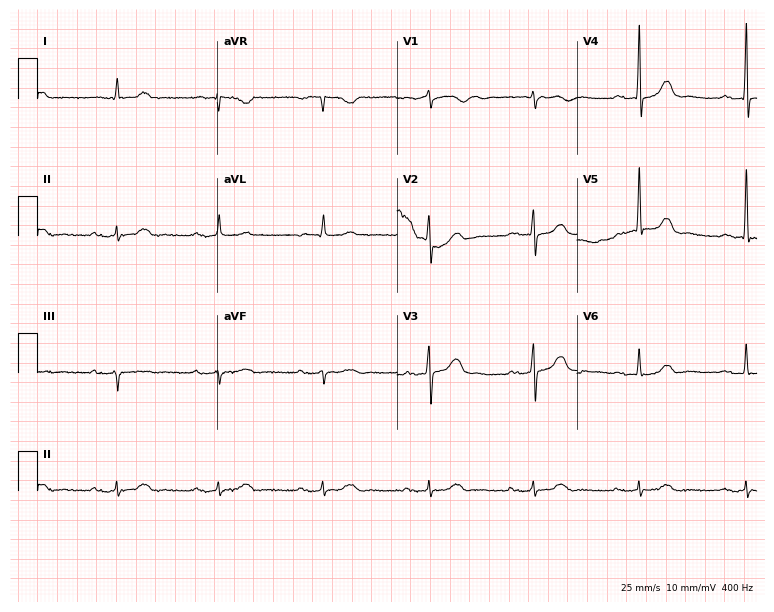
Resting 12-lead electrocardiogram. Patient: an 82-year-old female. Read as a normal ECG.